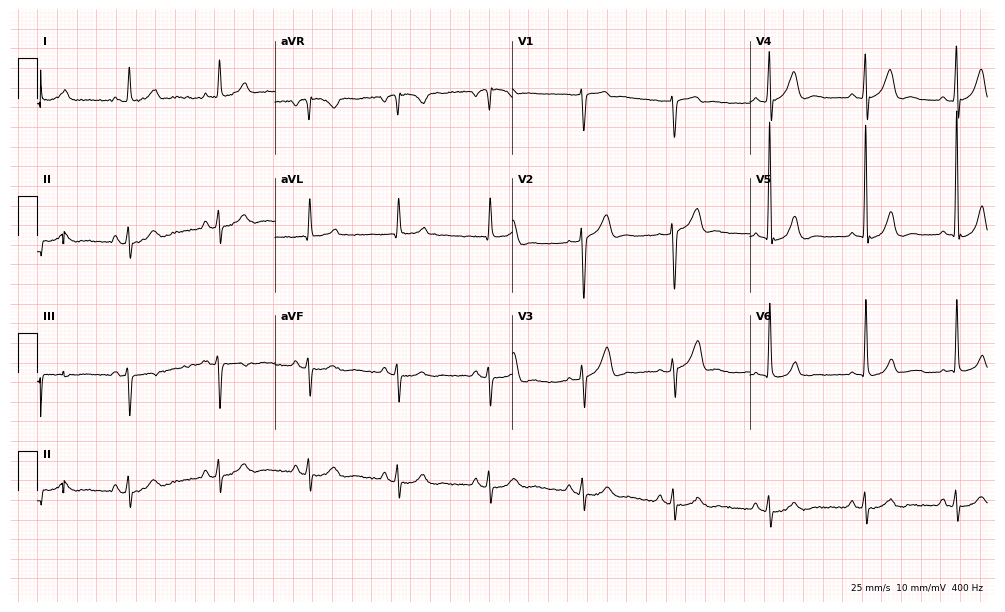
12-lead ECG from a man, 81 years old. No first-degree AV block, right bundle branch block, left bundle branch block, sinus bradycardia, atrial fibrillation or sinus tachycardia recorded for this tracing.